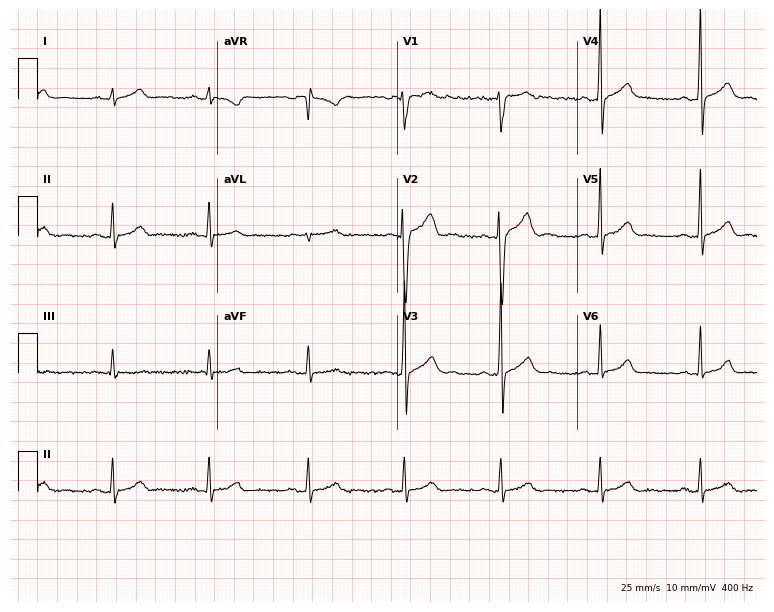
12-lead ECG (7.3-second recording at 400 Hz) from a man, 26 years old. Screened for six findings — first-degree AV block, right bundle branch block, left bundle branch block, sinus bradycardia, atrial fibrillation, sinus tachycardia — none is recorded. Only these six findings were labelled.